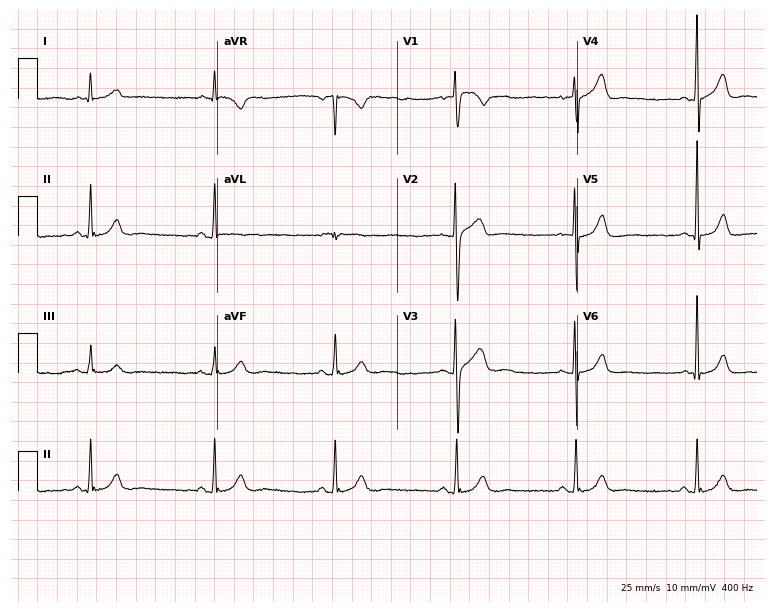
12-lead ECG from a 66-year-old male. Findings include sinus bradycardia (a sinus rate of 50 beats per minute or less).